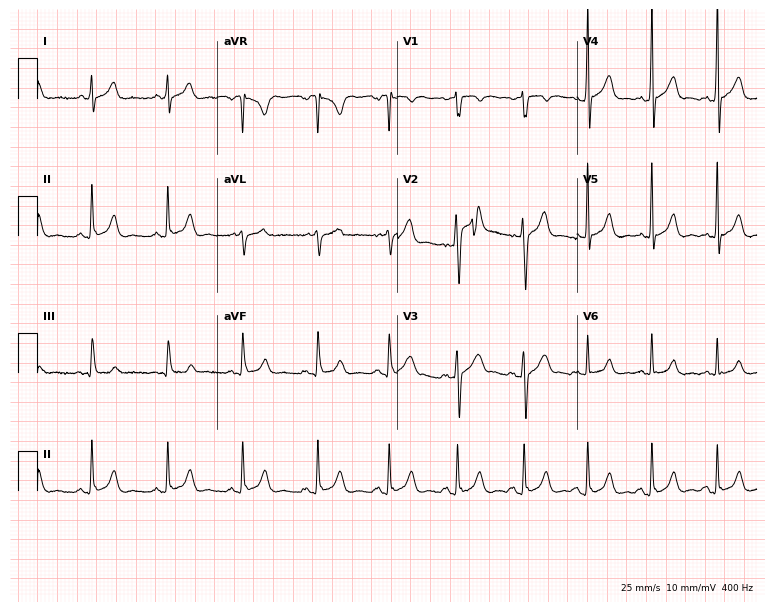
12-lead ECG (7.3-second recording at 400 Hz) from a man, 34 years old. Screened for six findings — first-degree AV block, right bundle branch block, left bundle branch block, sinus bradycardia, atrial fibrillation, sinus tachycardia — none is recorded. Findings outside these six are not listed.